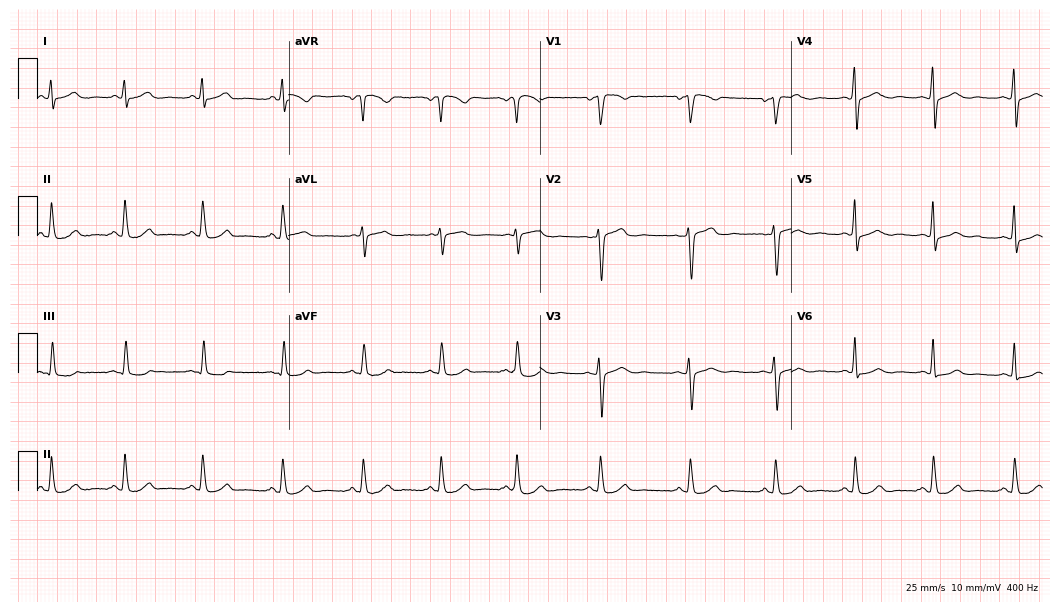
Electrocardiogram, a 34-year-old female. Overall reading on record: normal ECG.